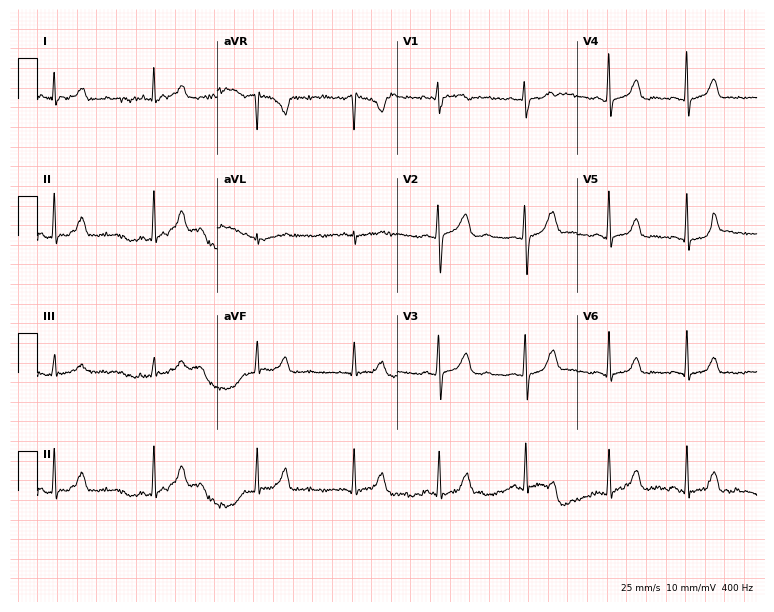
Resting 12-lead electrocardiogram (7.3-second recording at 400 Hz). Patient: a 27-year-old woman. None of these six findings is recorded: first-degree AV block, right bundle branch block (RBBB), left bundle branch block (LBBB), sinus bradycardia, atrial fibrillation (AF), sinus tachycardia.